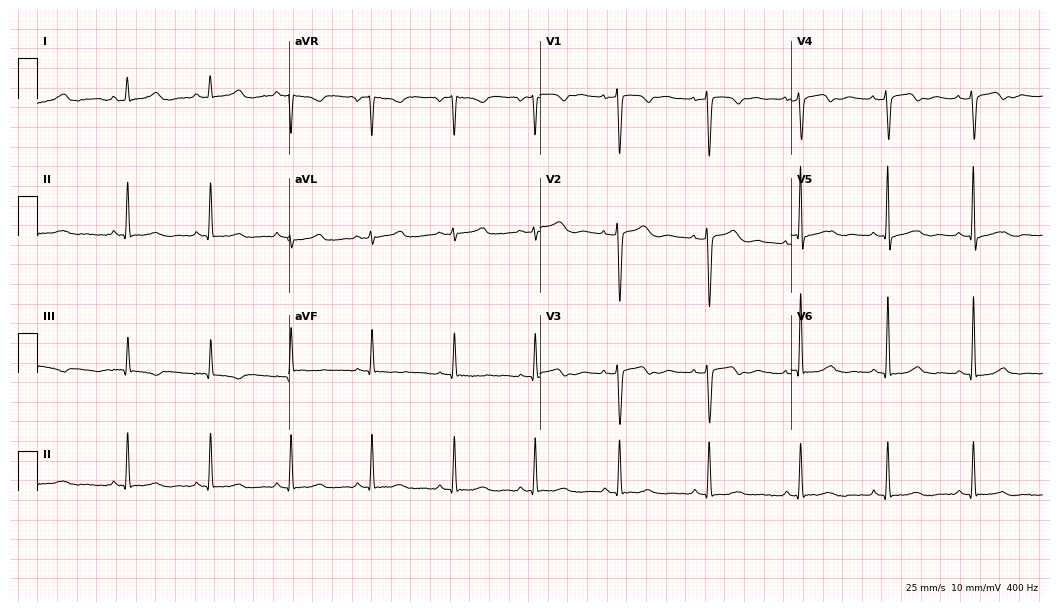
12-lead ECG from a 43-year-old female. Labelled as a normal ECG.